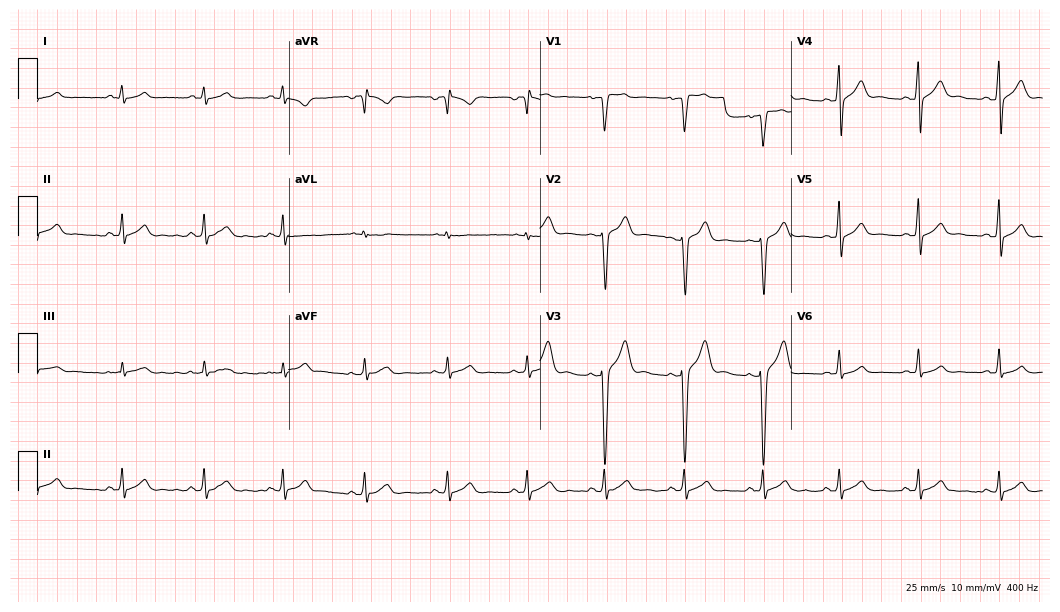
ECG — a man, 20 years old. Labelled as a normal ECG.